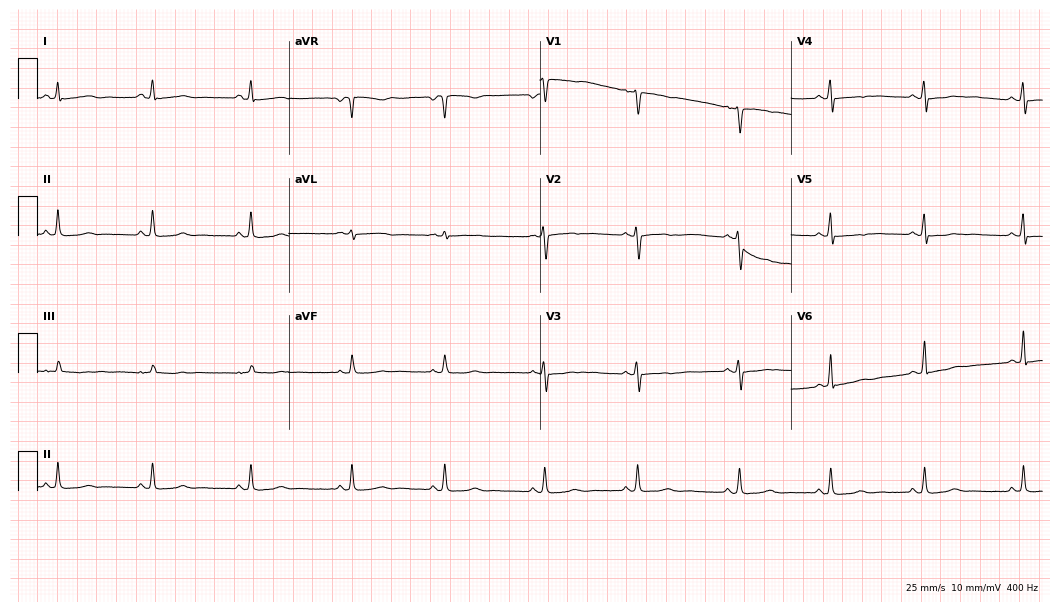
Electrocardiogram, a 38-year-old female. Of the six screened findings (first-degree AV block, right bundle branch block, left bundle branch block, sinus bradycardia, atrial fibrillation, sinus tachycardia), none is recorded.